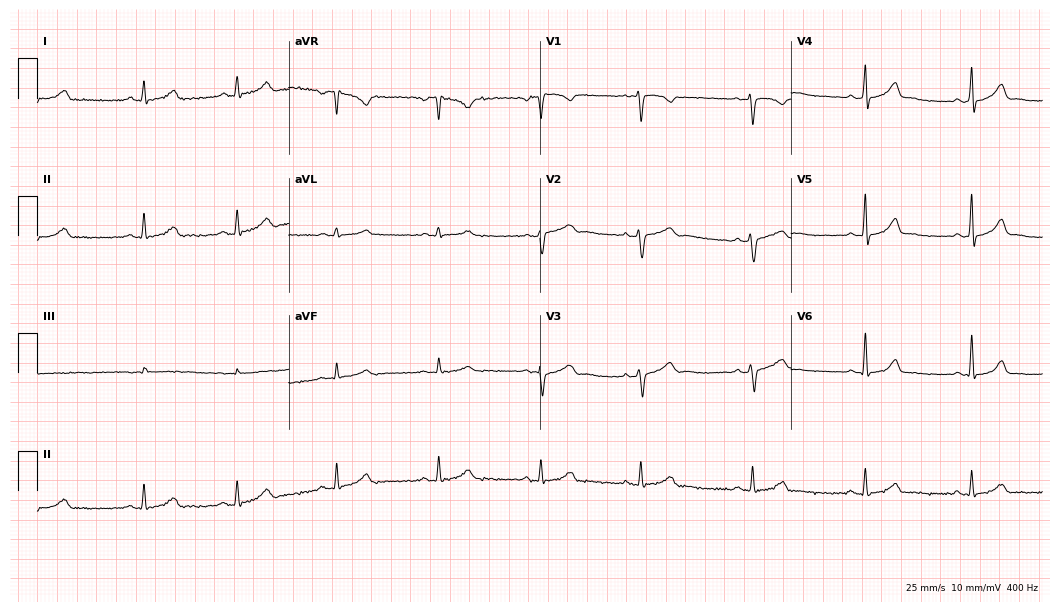
Standard 12-lead ECG recorded from a woman, 27 years old (10.2-second recording at 400 Hz). Read as a normal ECG.